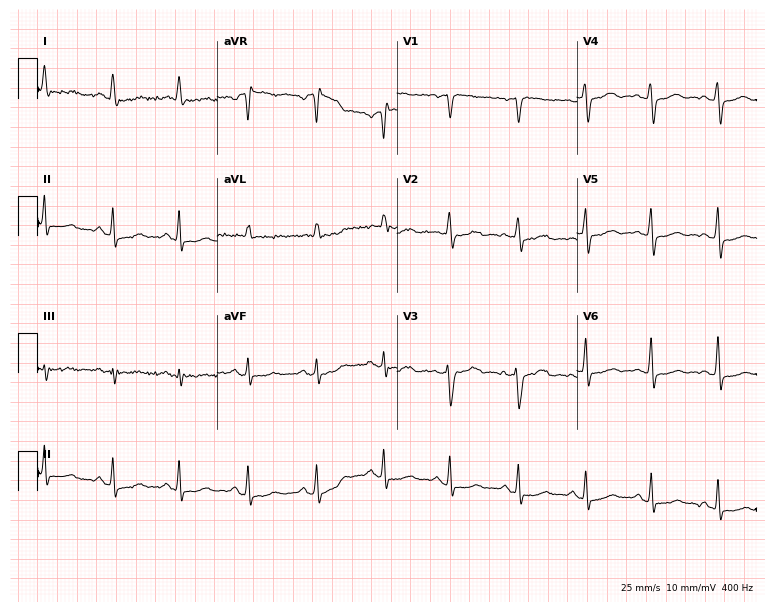
ECG — a 57-year-old female patient. Screened for six findings — first-degree AV block, right bundle branch block, left bundle branch block, sinus bradycardia, atrial fibrillation, sinus tachycardia — none is recorded. Other findings, if any, are not listed.